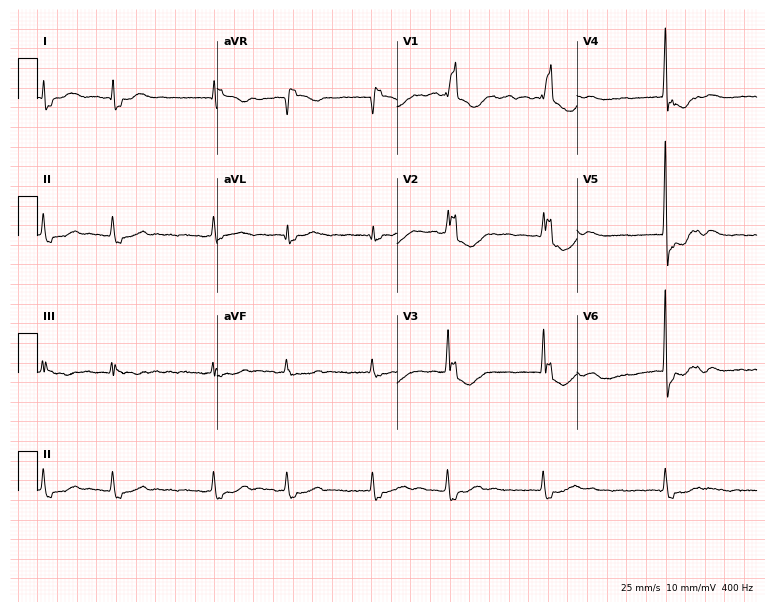
Resting 12-lead electrocardiogram (7.3-second recording at 400 Hz). Patient: a 76-year-old woman. The tracing shows right bundle branch block, atrial fibrillation.